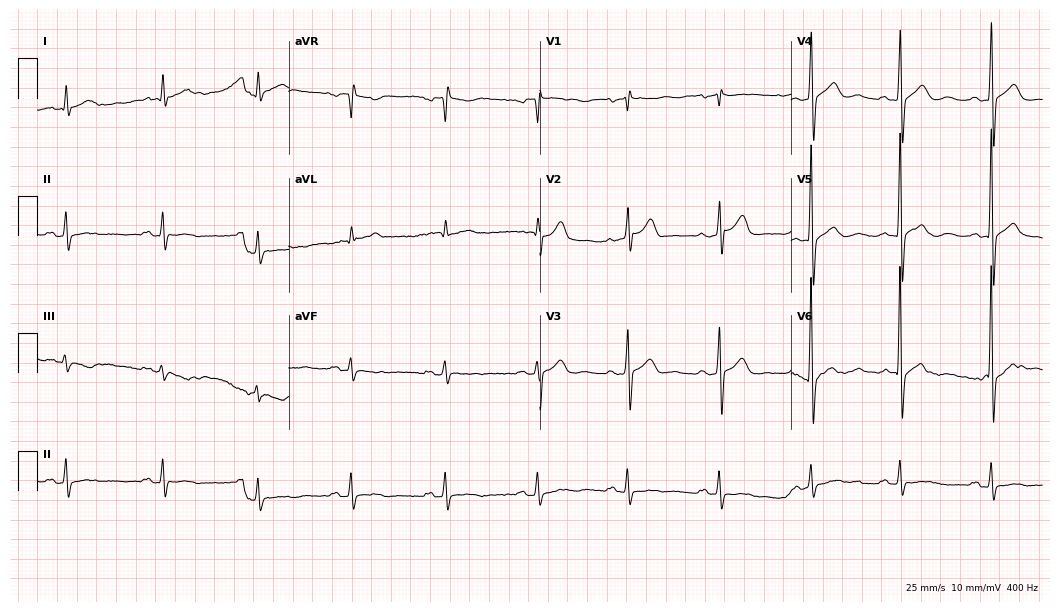
Standard 12-lead ECG recorded from a 75-year-old male. None of these six findings is recorded: first-degree AV block, right bundle branch block, left bundle branch block, sinus bradycardia, atrial fibrillation, sinus tachycardia. Only these six findings were labelled.